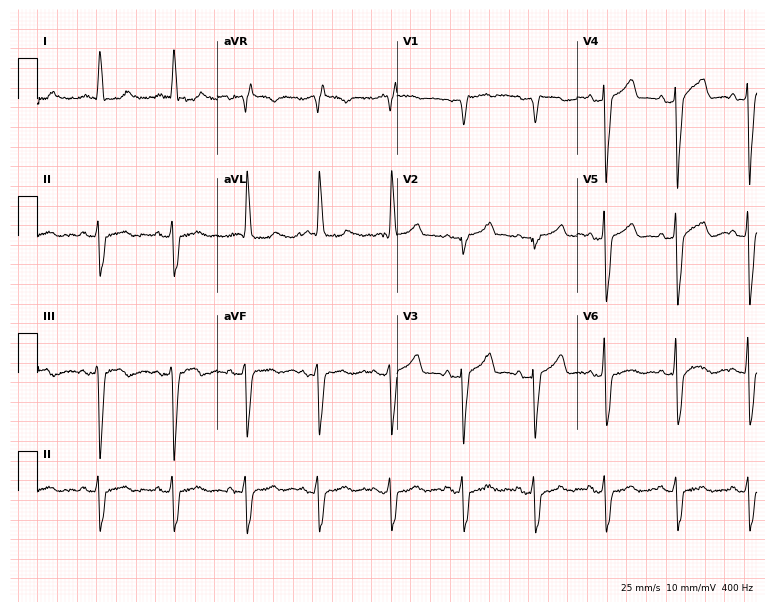
12-lead ECG from an 82-year-old man (7.3-second recording at 400 Hz). No first-degree AV block, right bundle branch block (RBBB), left bundle branch block (LBBB), sinus bradycardia, atrial fibrillation (AF) or sinus tachycardia recorded for this tracing.